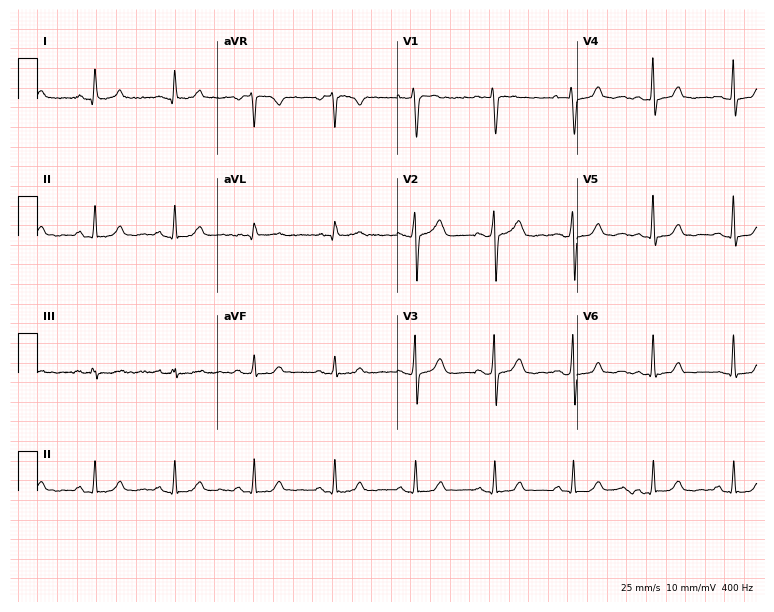
Resting 12-lead electrocardiogram. Patient: a female, 47 years old. Read as a normal ECG.